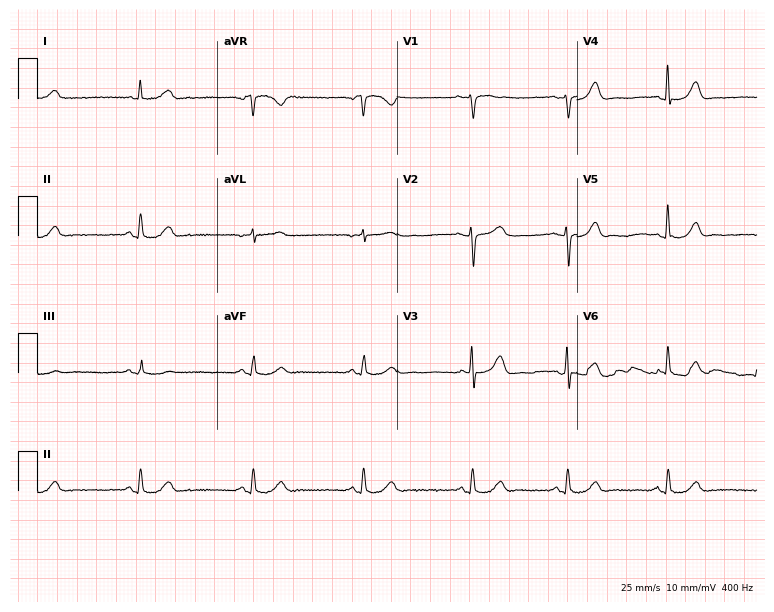
12-lead ECG from a 61-year-old woman. Labelled as a normal ECG.